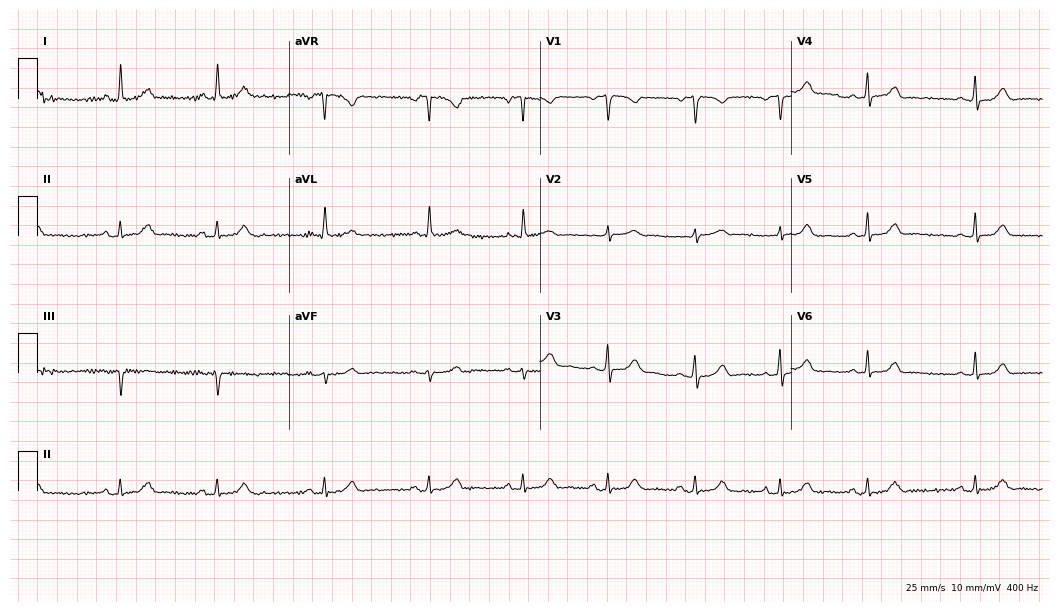
Resting 12-lead electrocardiogram. Patient: a 40-year-old female. Read as a normal ECG.